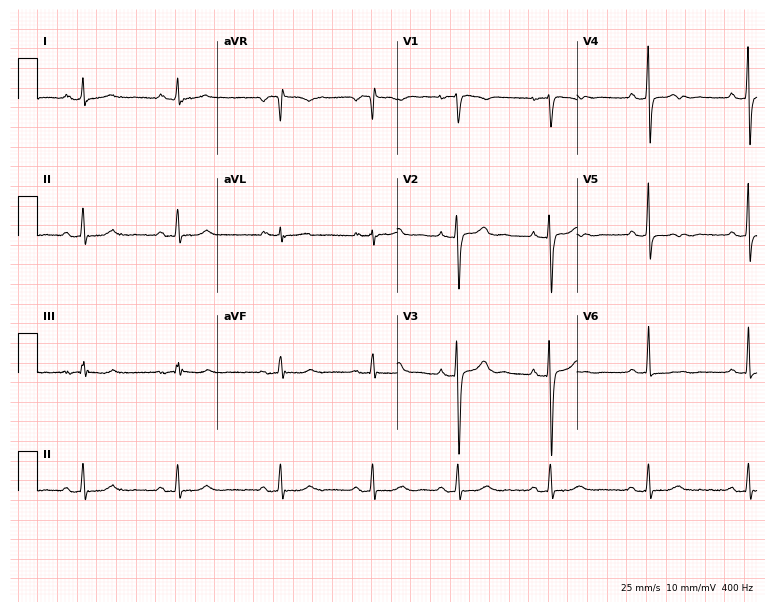
12-lead ECG from a 36-year-old woman. No first-degree AV block, right bundle branch block, left bundle branch block, sinus bradycardia, atrial fibrillation or sinus tachycardia recorded for this tracing. Only these six findings were labelled.